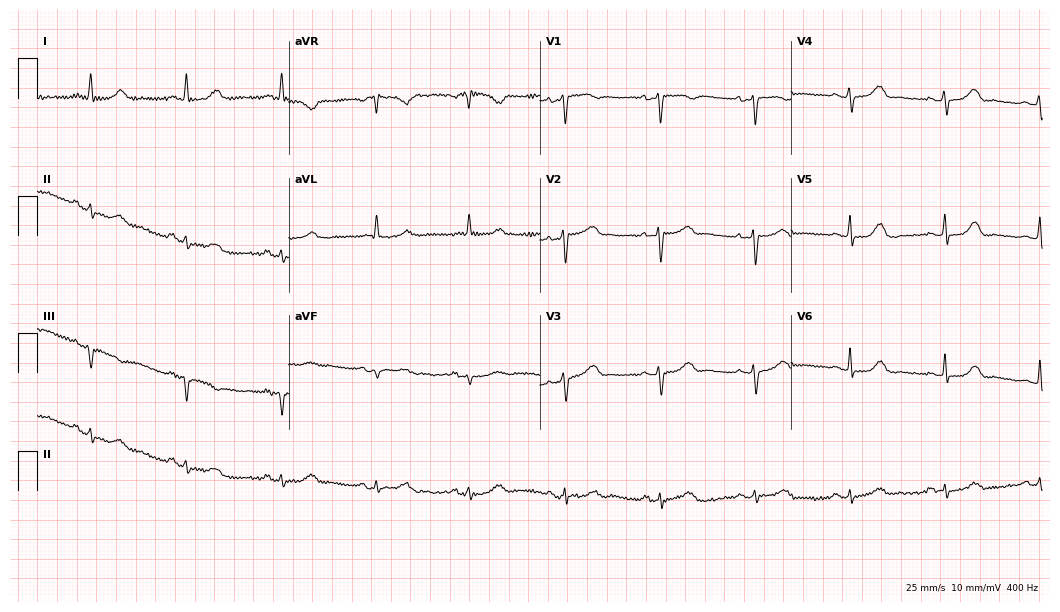
Electrocardiogram, a female, 74 years old. Of the six screened findings (first-degree AV block, right bundle branch block, left bundle branch block, sinus bradycardia, atrial fibrillation, sinus tachycardia), none is recorded.